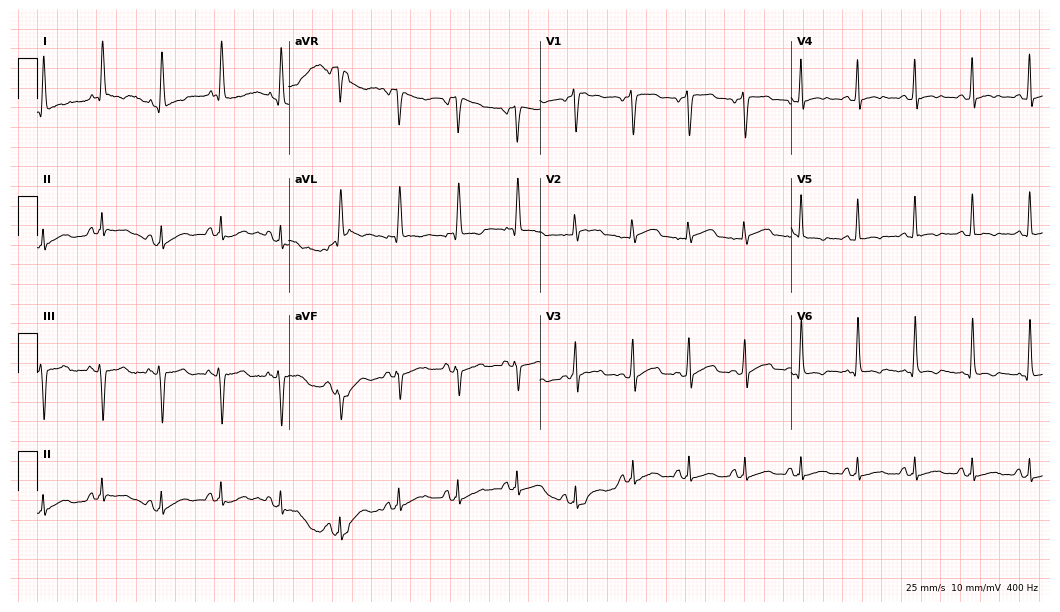
12-lead ECG from a female patient, 60 years old (10.2-second recording at 400 Hz). No first-degree AV block, right bundle branch block, left bundle branch block, sinus bradycardia, atrial fibrillation or sinus tachycardia recorded for this tracing. Only these six findings were labelled.